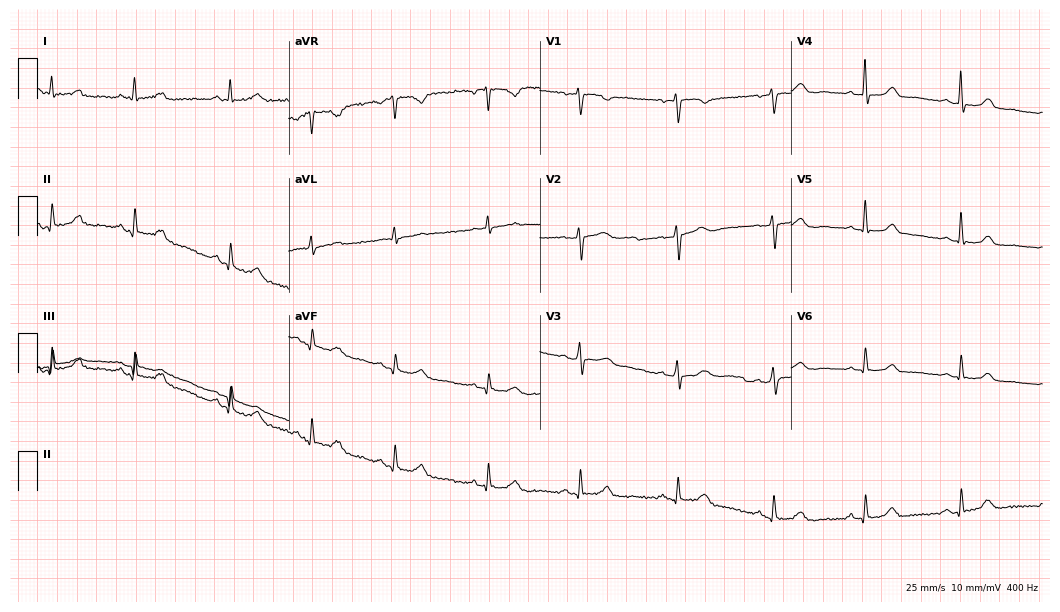
Electrocardiogram, a female, 42 years old. Overall reading on record: normal ECG.